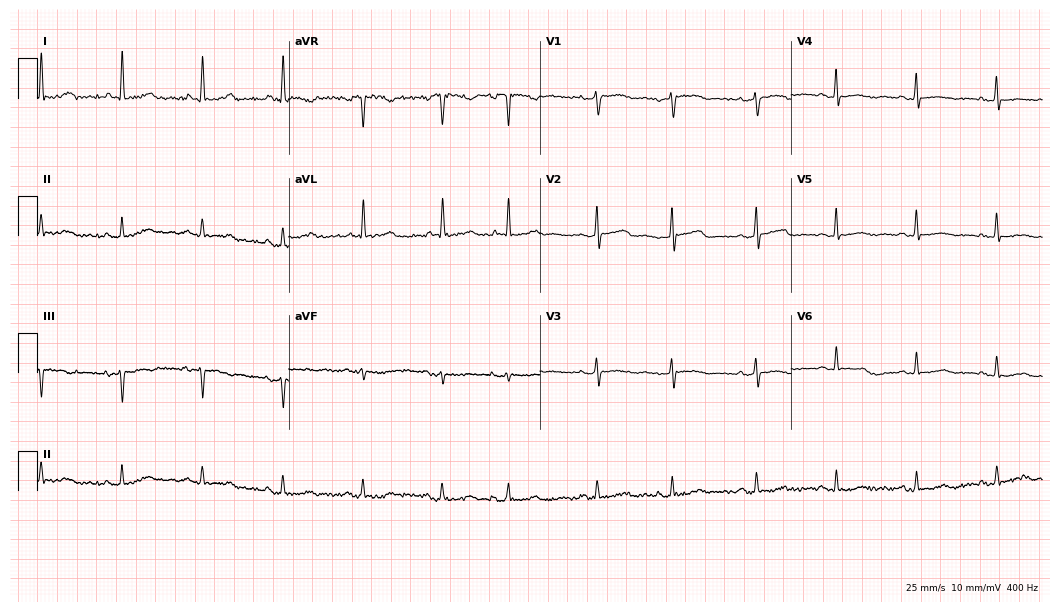
Resting 12-lead electrocardiogram. Patient: a 73-year-old female. None of these six findings is recorded: first-degree AV block, right bundle branch block (RBBB), left bundle branch block (LBBB), sinus bradycardia, atrial fibrillation (AF), sinus tachycardia. Findings outside these six are not listed.